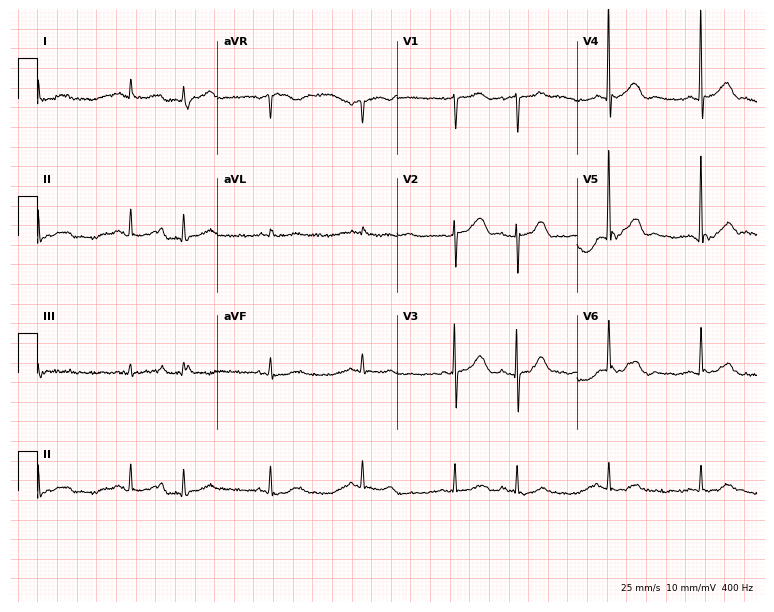
Resting 12-lead electrocardiogram. Patient: an 85-year-old man. None of these six findings is recorded: first-degree AV block, right bundle branch block, left bundle branch block, sinus bradycardia, atrial fibrillation, sinus tachycardia.